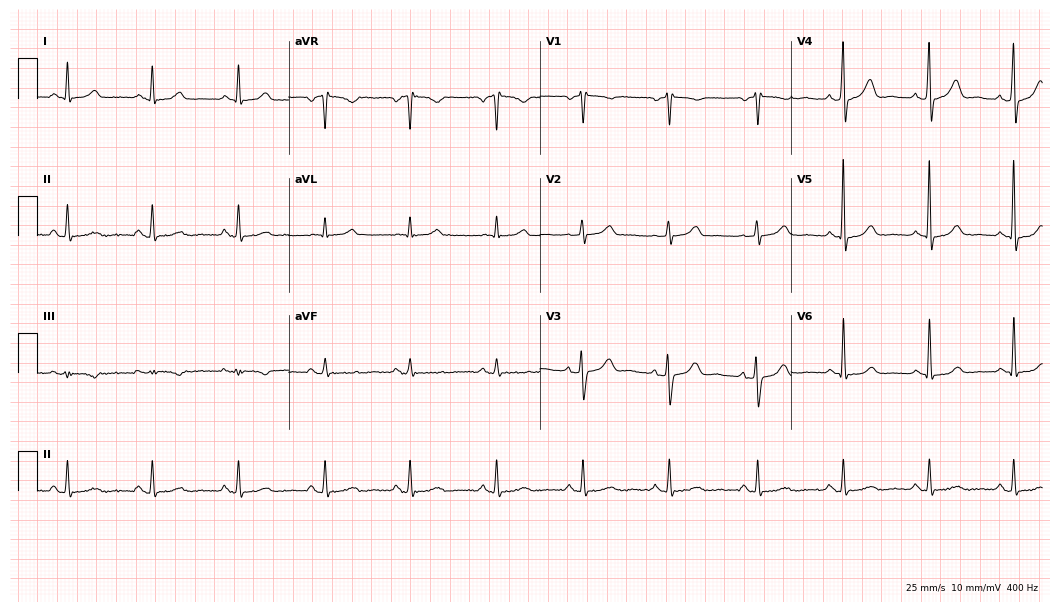
12-lead ECG from a 48-year-old female patient (10.2-second recording at 400 Hz). Recorded interpretation: within normal limits.